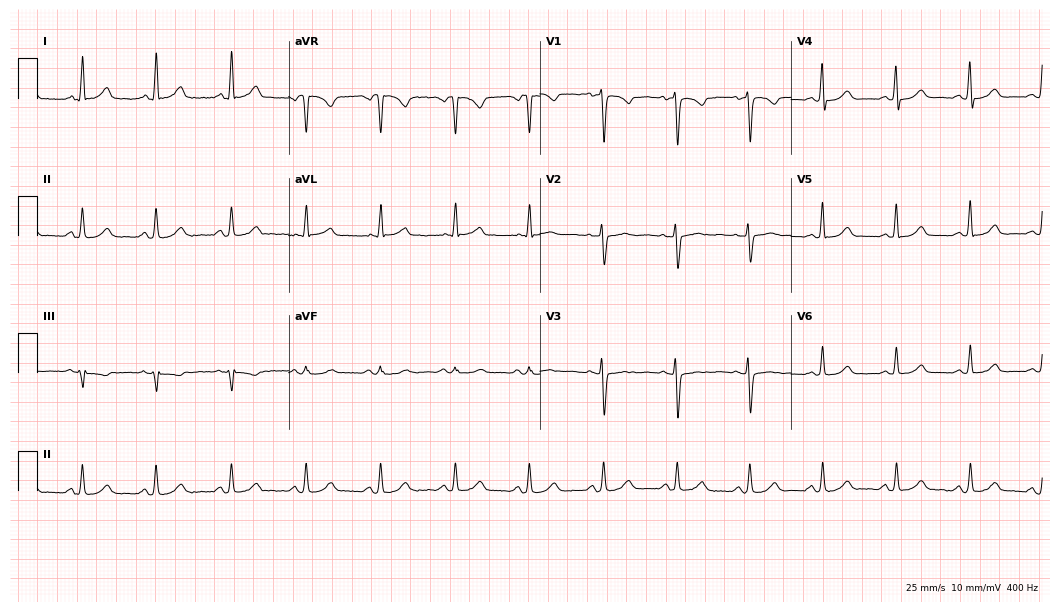
Standard 12-lead ECG recorded from a 40-year-old female. Read as a normal ECG.